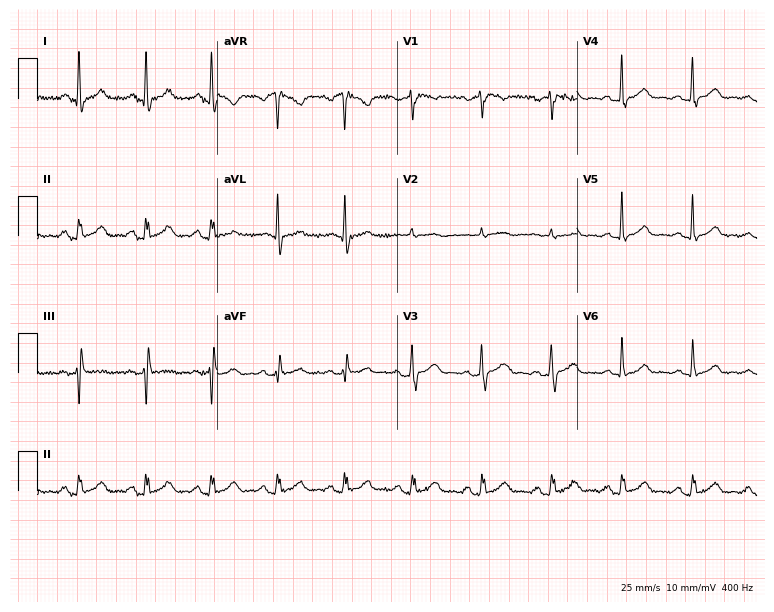
ECG — a 40-year-old male. Screened for six findings — first-degree AV block, right bundle branch block, left bundle branch block, sinus bradycardia, atrial fibrillation, sinus tachycardia — none is recorded.